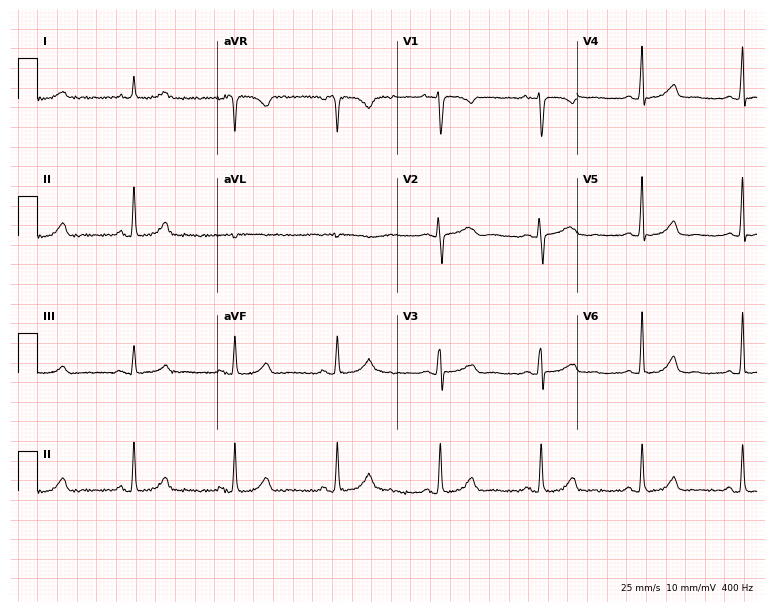
ECG — a female, 50 years old. Screened for six findings — first-degree AV block, right bundle branch block (RBBB), left bundle branch block (LBBB), sinus bradycardia, atrial fibrillation (AF), sinus tachycardia — none is recorded. Findings outside these six are not listed.